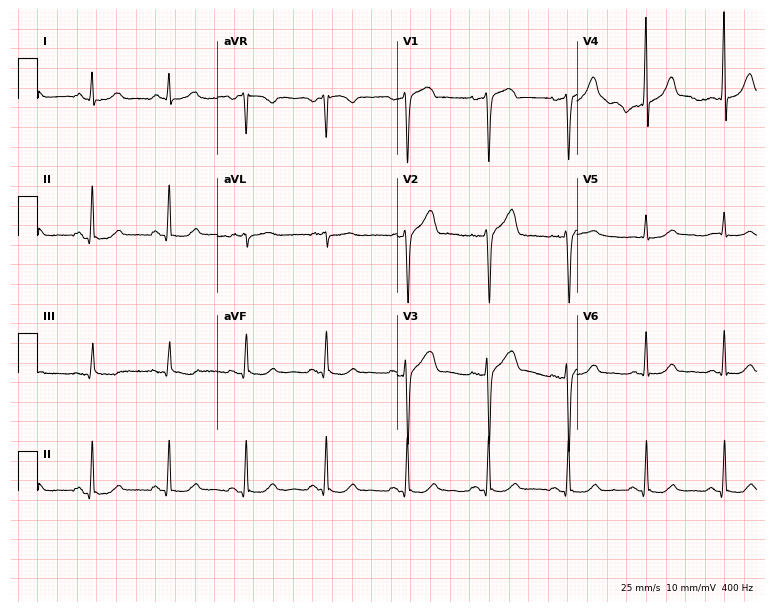
12-lead ECG (7.3-second recording at 400 Hz) from a 49-year-old male patient. Labelled as a normal ECG.